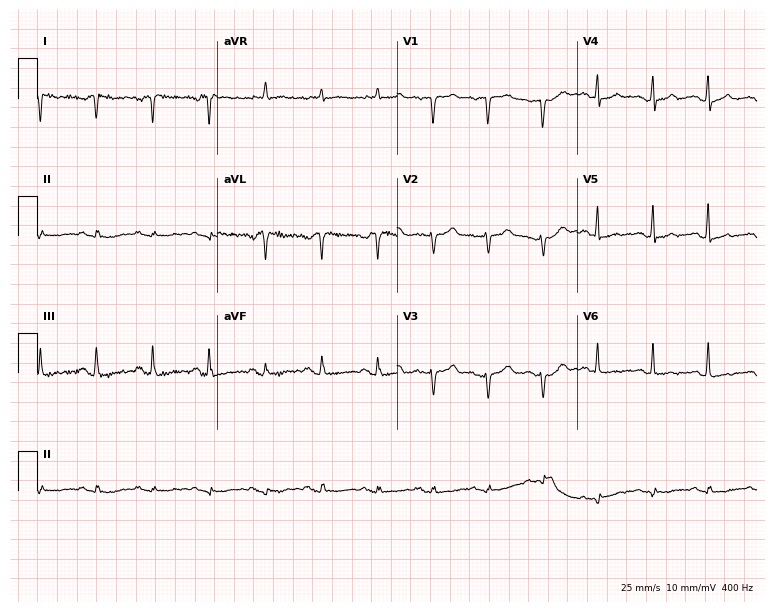
12-lead ECG from a 52-year-old female patient (7.3-second recording at 400 Hz). No first-degree AV block, right bundle branch block, left bundle branch block, sinus bradycardia, atrial fibrillation or sinus tachycardia recorded for this tracing.